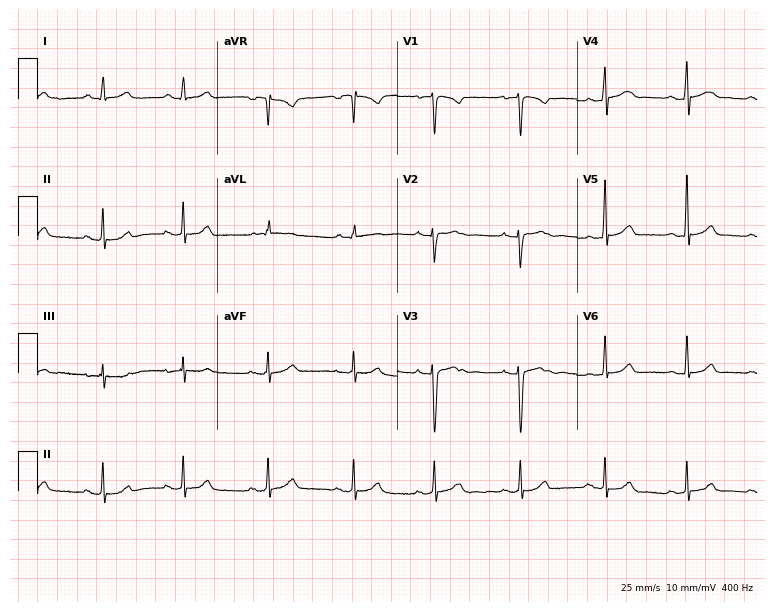
12-lead ECG from a woman, 24 years old. Labelled as a normal ECG.